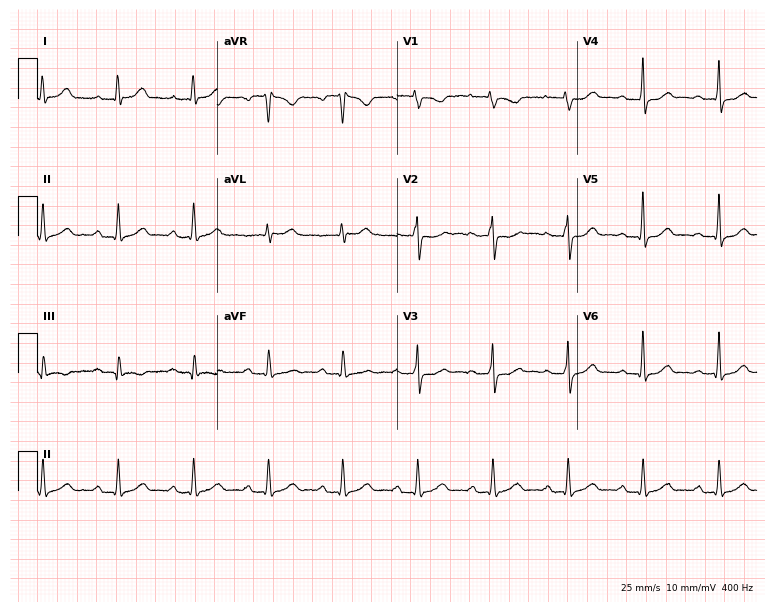
12-lead ECG (7.3-second recording at 400 Hz) from a female, 44 years old. Findings include first-degree AV block.